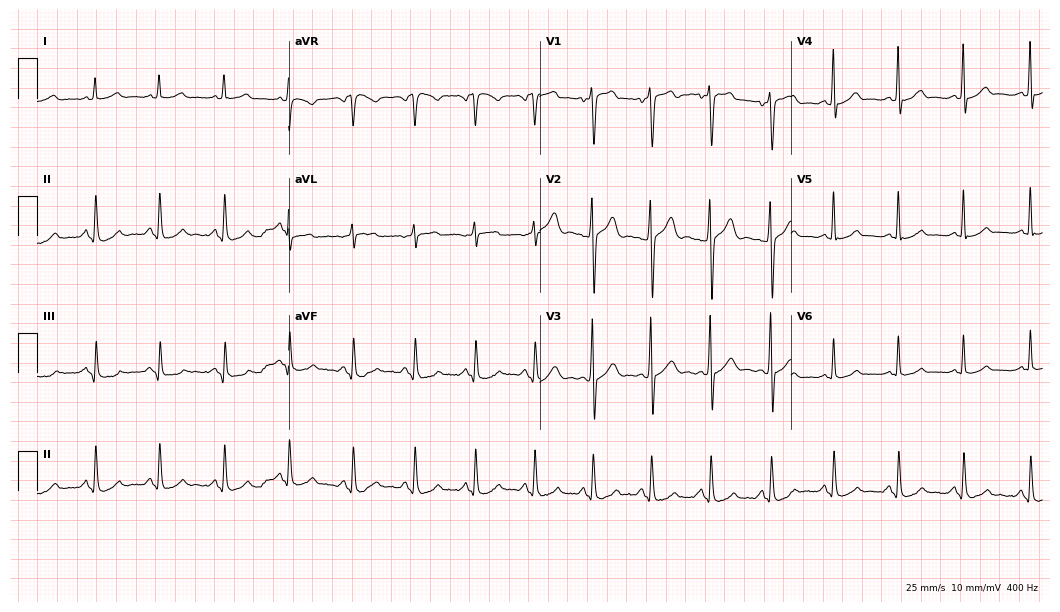
12-lead ECG (10.2-second recording at 400 Hz) from a man, 26 years old. Labelled as a normal ECG.